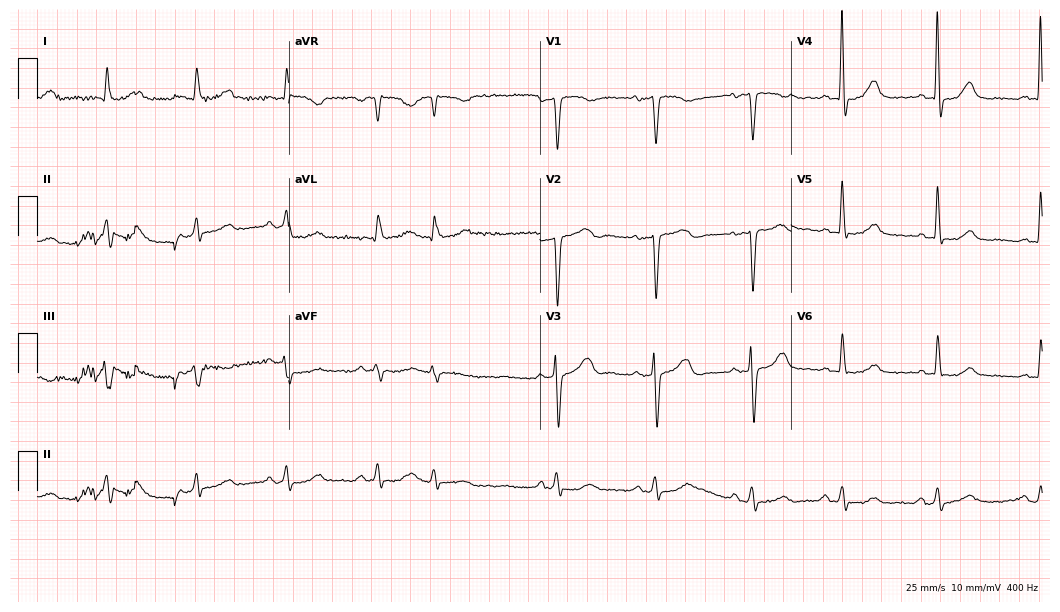
12-lead ECG from a 79-year-old female. No first-degree AV block, right bundle branch block, left bundle branch block, sinus bradycardia, atrial fibrillation or sinus tachycardia recorded for this tracing.